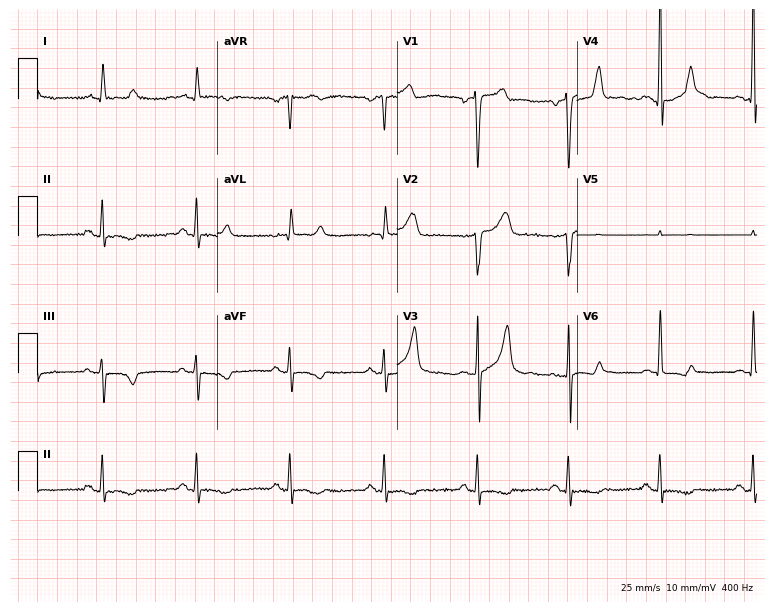
12-lead ECG from a 69-year-old male patient. No first-degree AV block, right bundle branch block, left bundle branch block, sinus bradycardia, atrial fibrillation or sinus tachycardia recorded for this tracing. Other findings, if any, are not listed.